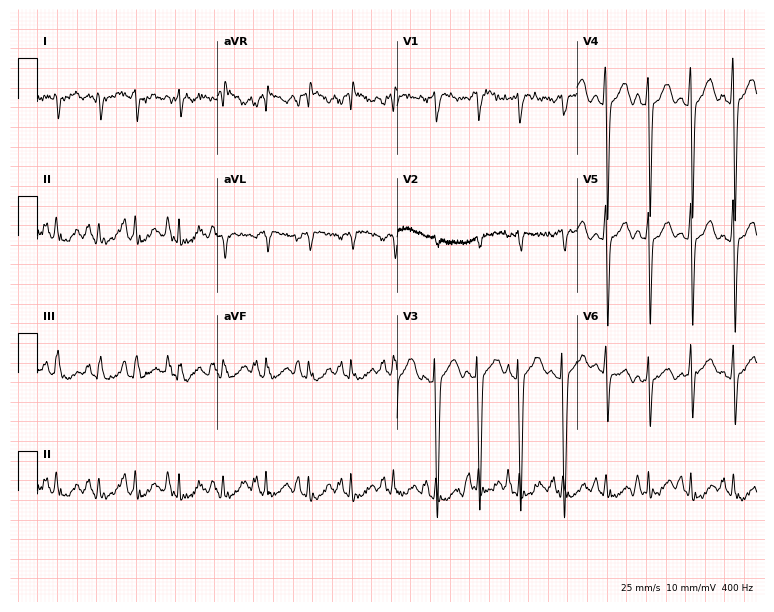
Standard 12-lead ECG recorded from an 80-year-old man. None of these six findings is recorded: first-degree AV block, right bundle branch block, left bundle branch block, sinus bradycardia, atrial fibrillation, sinus tachycardia.